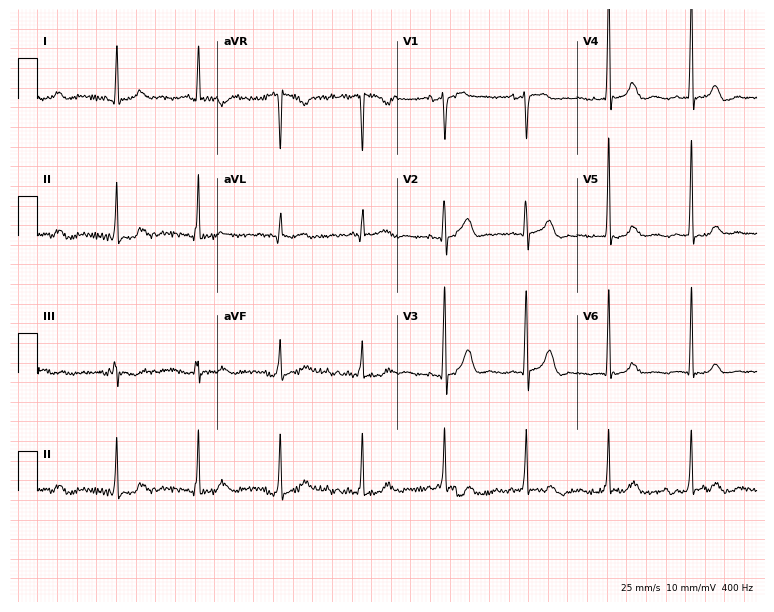
Resting 12-lead electrocardiogram. Patient: a female, 70 years old. Read as a normal ECG.